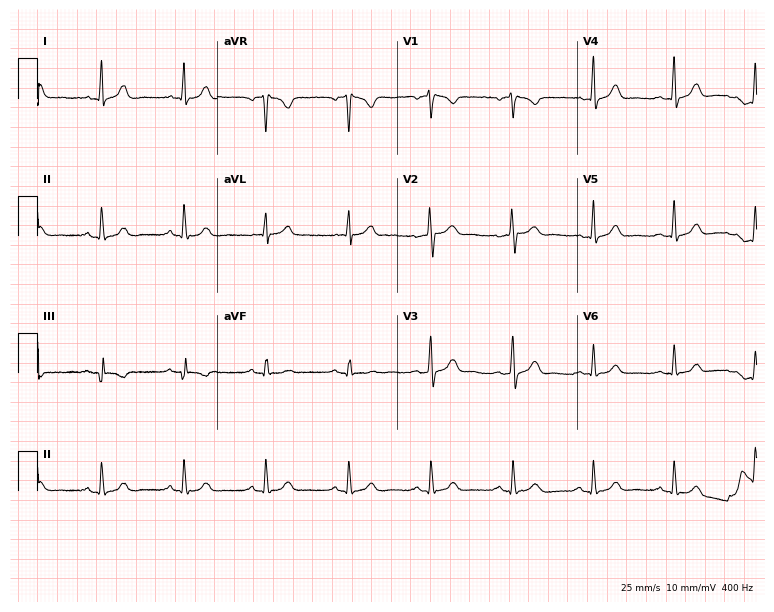
Standard 12-lead ECG recorded from a 46-year-old female patient (7.3-second recording at 400 Hz). None of these six findings is recorded: first-degree AV block, right bundle branch block, left bundle branch block, sinus bradycardia, atrial fibrillation, sinus tachycardia. Only these six findings were labelled.